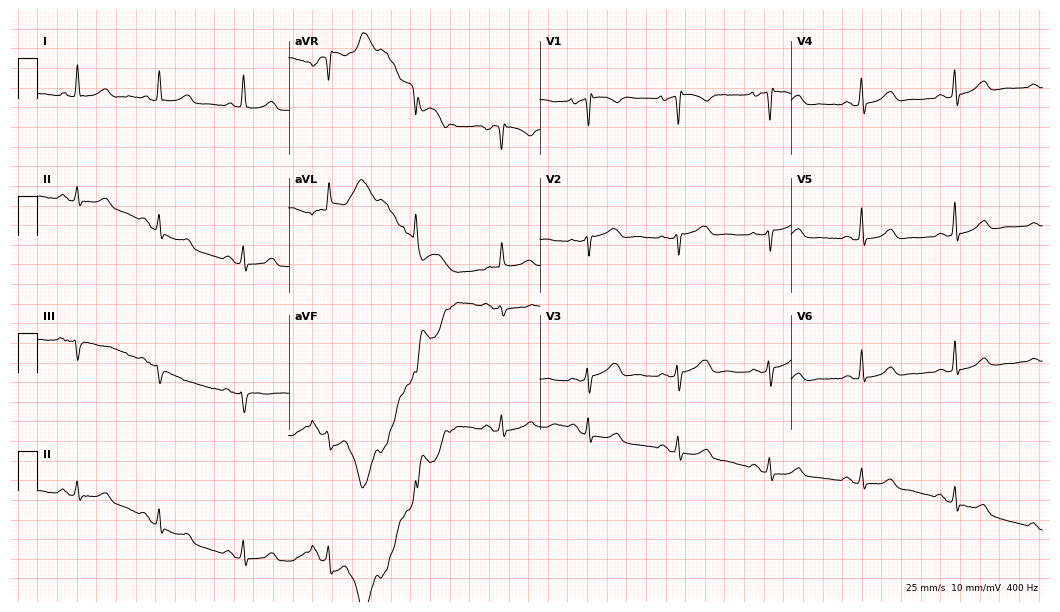
Standard 12-lead ECG recorded from a female patient, 75 years old (10.2-second recording at 400 Hz). None of these six findings is recorded: first-degree AV block, right bundle branch block (RBBB), left bundle branch block (LBBB), sinus bradycardia, atrial fibrillation (AF), sinus tachycardia.